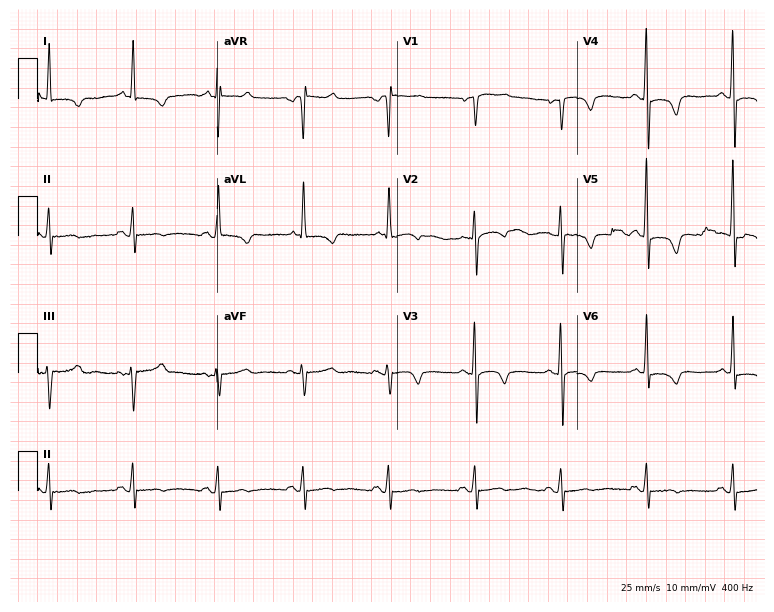
ECG (7.3-second recording at 400 Hz) — a female, 66 years old. Labelled as a normal ECG.